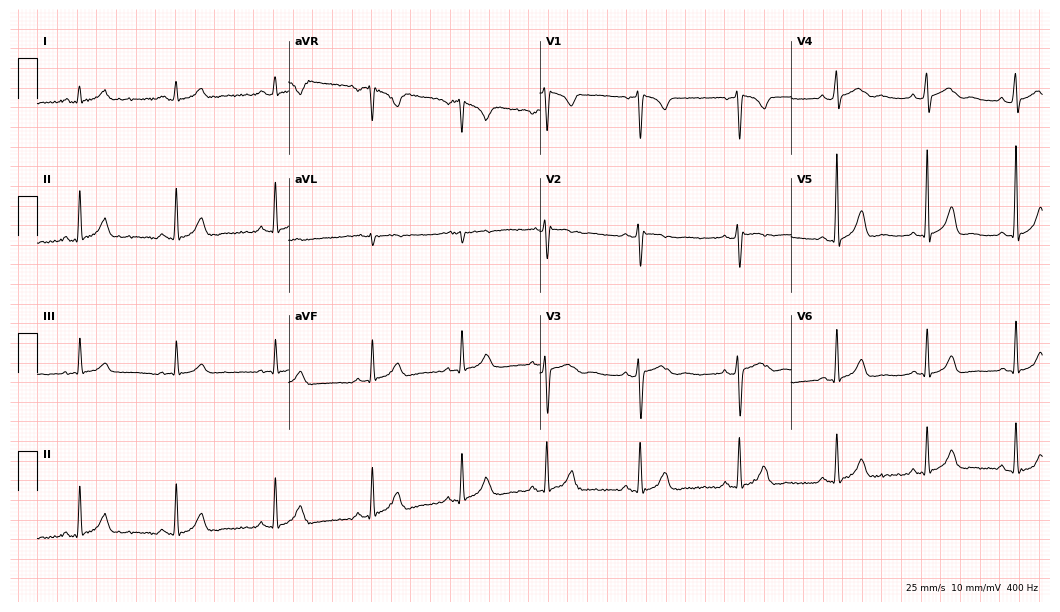
Resting 12-lead electrocardiogram (10.2-second recording at 400 Hz). Patient: a woman, 29 years old. Read as a normal ECG.